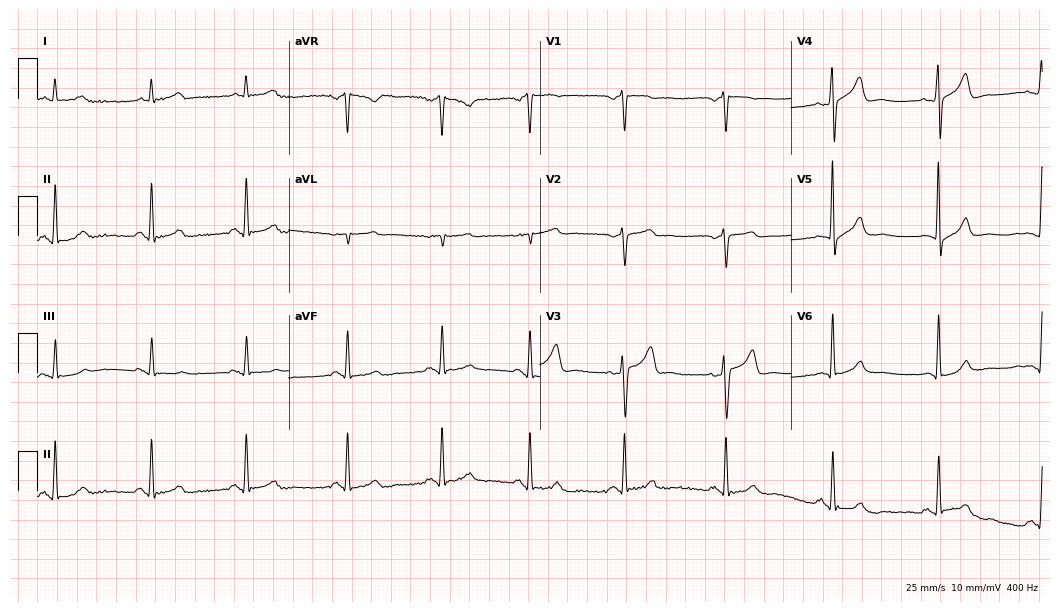
Standard 12-lead ECG recorded from a male, 70 years old. Read as a normal ECG.